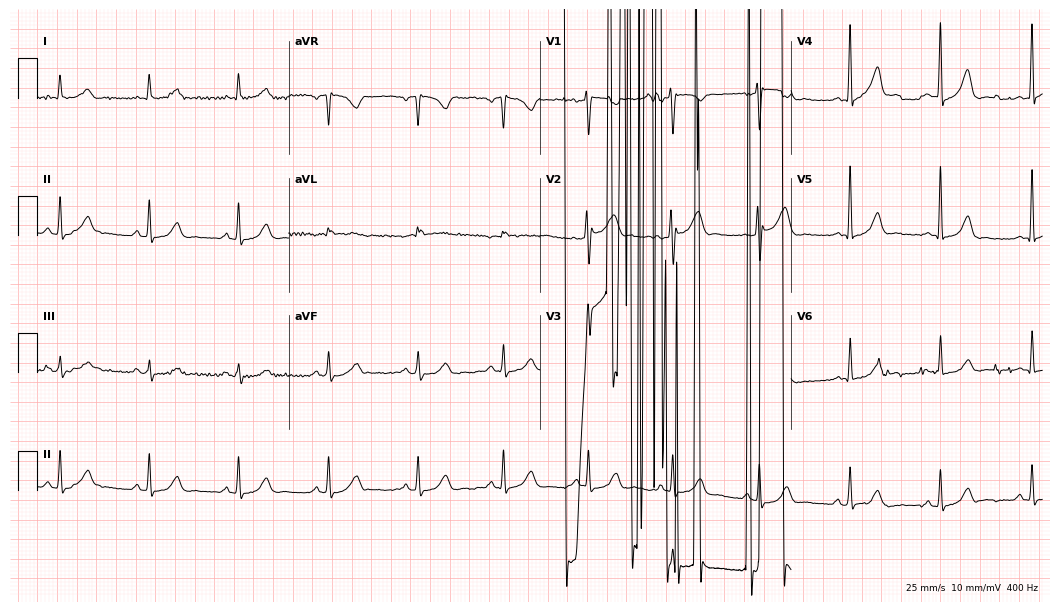
Resting 12-lead electrocardiogram (10.2-second recording at 400 Hz). Patient: a 47-year-old male. None of these six findings is recorded: first-degree AV block, right bundle branch block, left bundle branch block, sinus bradycardia, atrial fibrillation, sinus tachycardia.